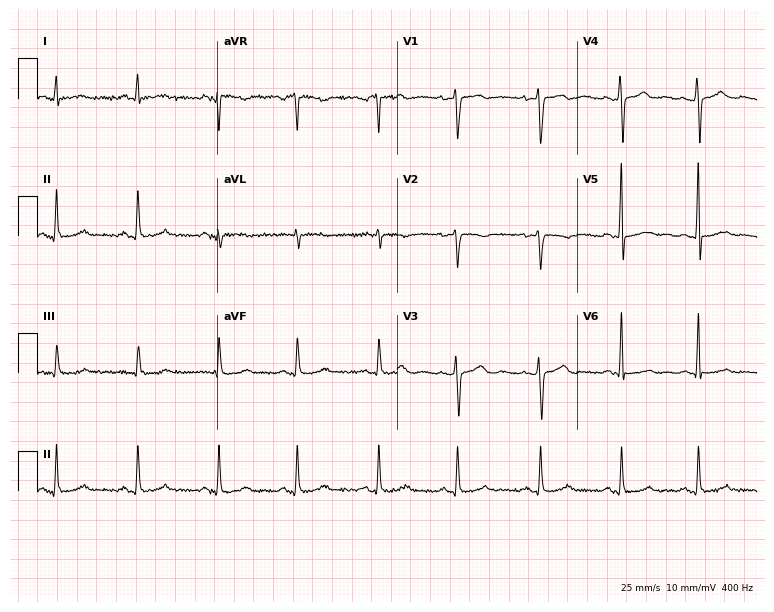
Resting 12-lead electrocardiogram. Patient: a 39-year-old woman. None of these six findings is recorded: first-degree AV block, right bundle branch block, left bundle branch block, sinus bradycardia, atrial fibrillation, sinus tachycardia.